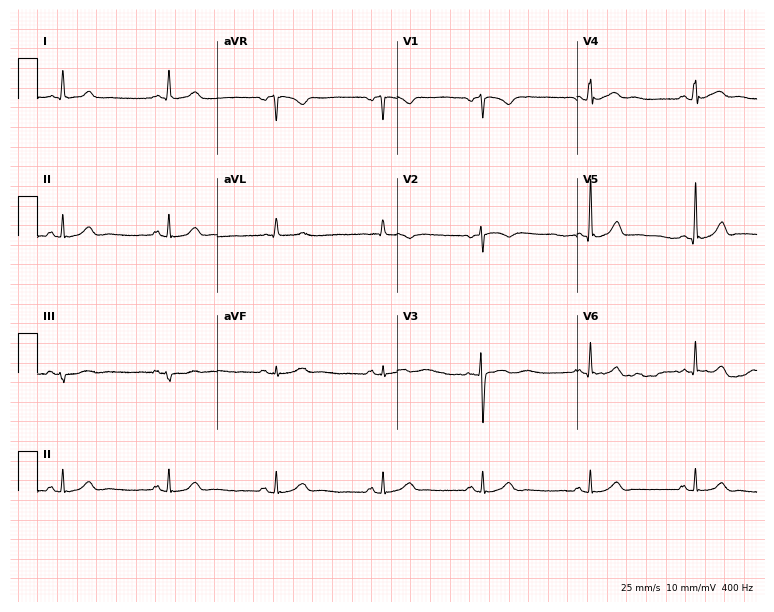
ECG (7.3-second recording at 400 Hz) — a 21-year-old female patient. Labelled as a normal ECG.